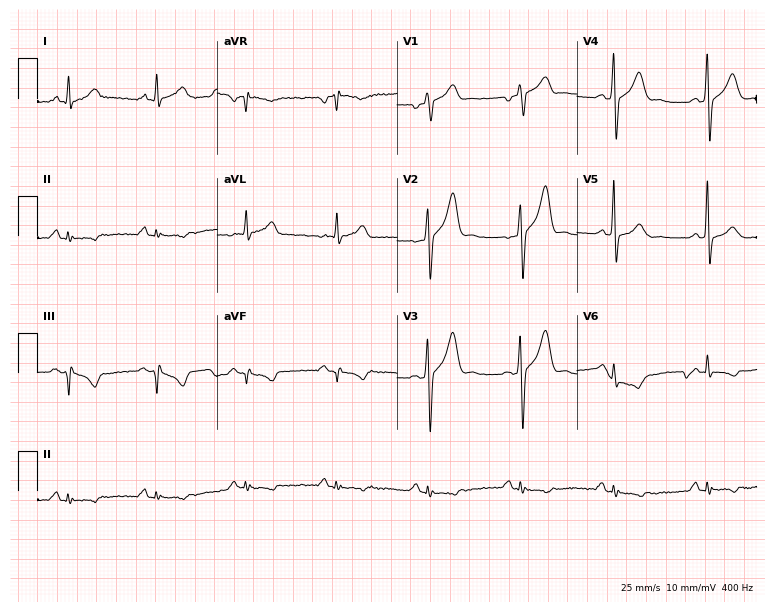
Electrocardiogram, a man, 53 years old. Of the six screened findings (first-degree AV block, right bundle branch block (RBBB), left bundle branch block (LBBB), sinus bradycardia, atrial fibrillation (AF), sinus tachycardia), none is recorded.